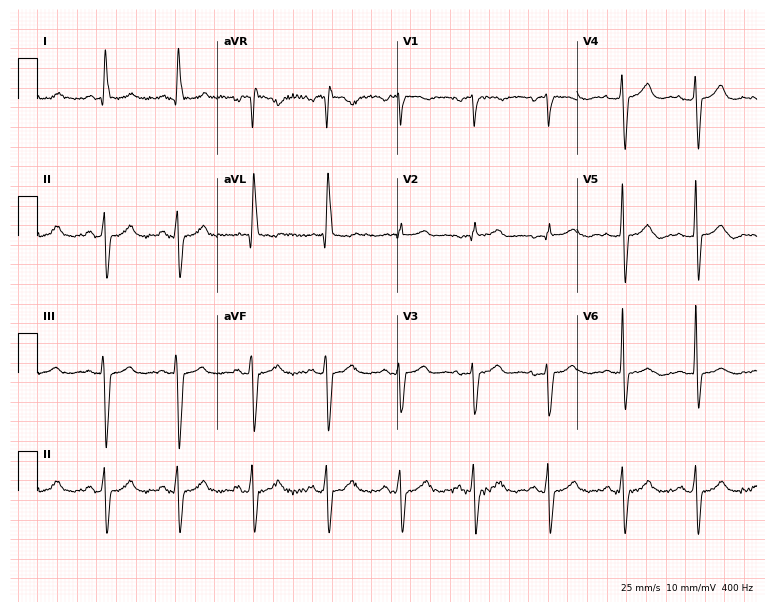
Electrocardiogram, a woman, 70 years old. Of the six screened findings (first-degree AV block, right bundle branch block, left bundle branch block, sinus bradycardia, atrial fibrillation, sinus tachycardia), none is recorded. Other findings, if any, are not listed.